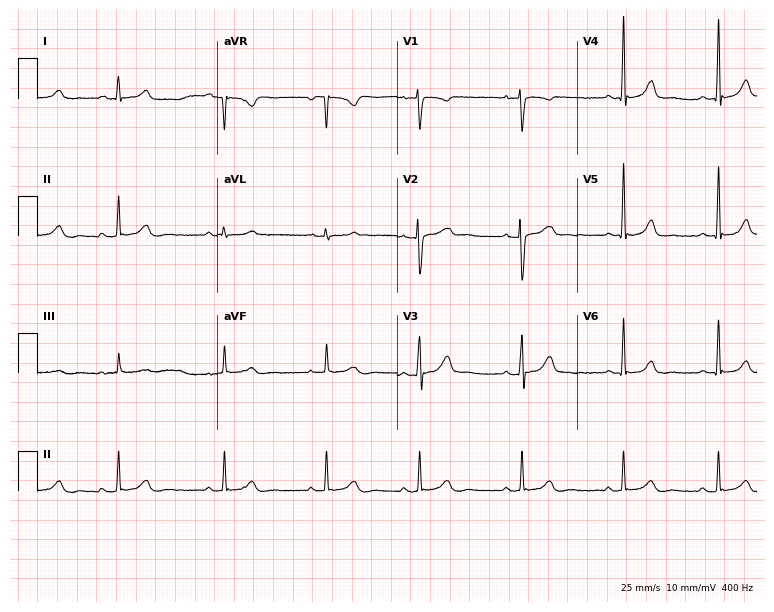
Resting 12-lead electrocardiogram. Patient: a woman, 22 years old. Read as a normal ECG.